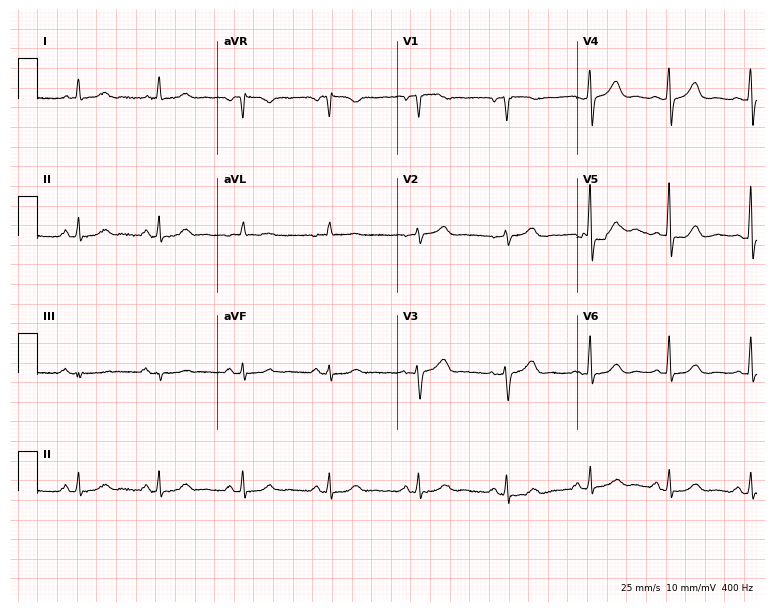
Electrocardiogram, a 64-year-old female patient. Overall reading on record: normal ECG.